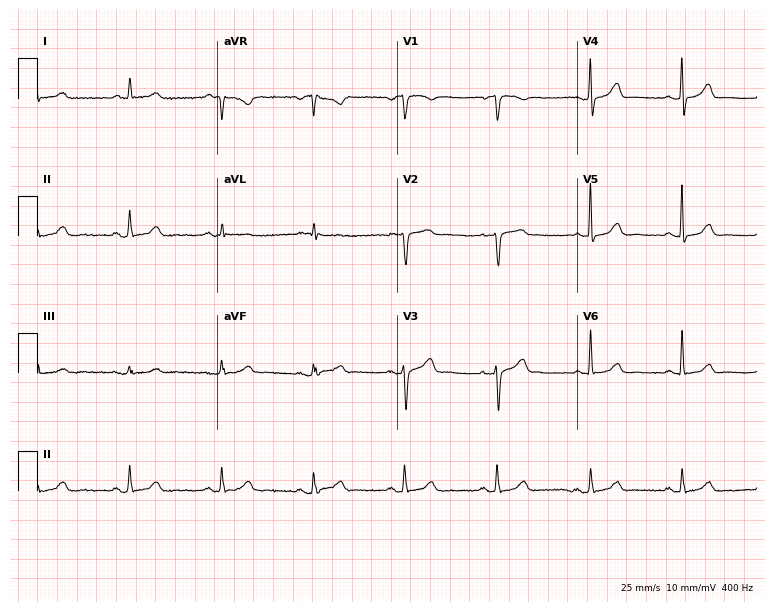
Electrocardiogram, a 77-year-old male patient. Overall reading on record: normal ECG.